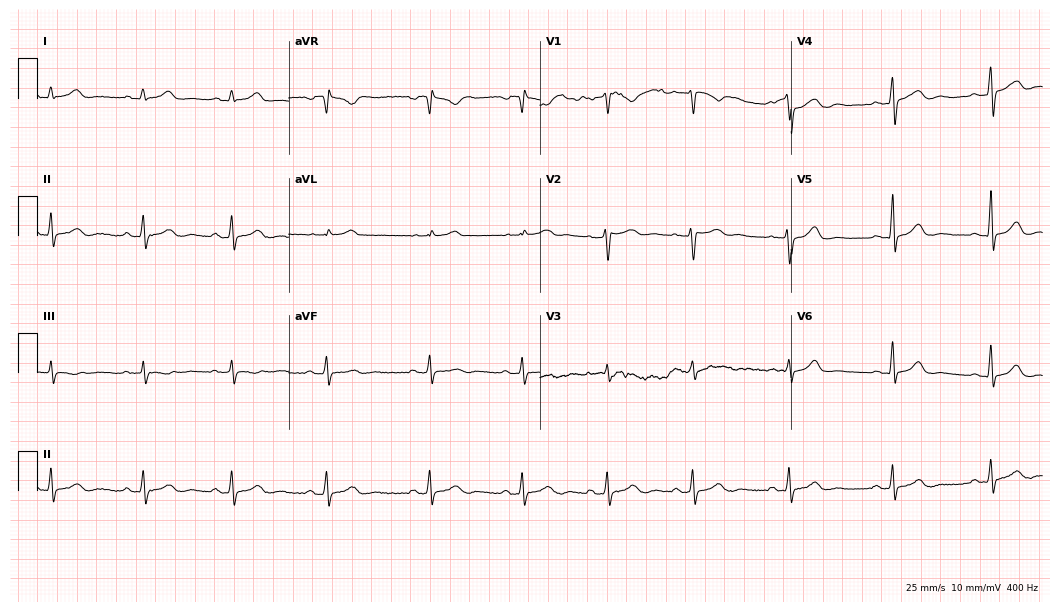
Electrocardiogram (10.2-second recording at 400 Hz), a woman, 39 years old. Overall reading on record: normal ECG.